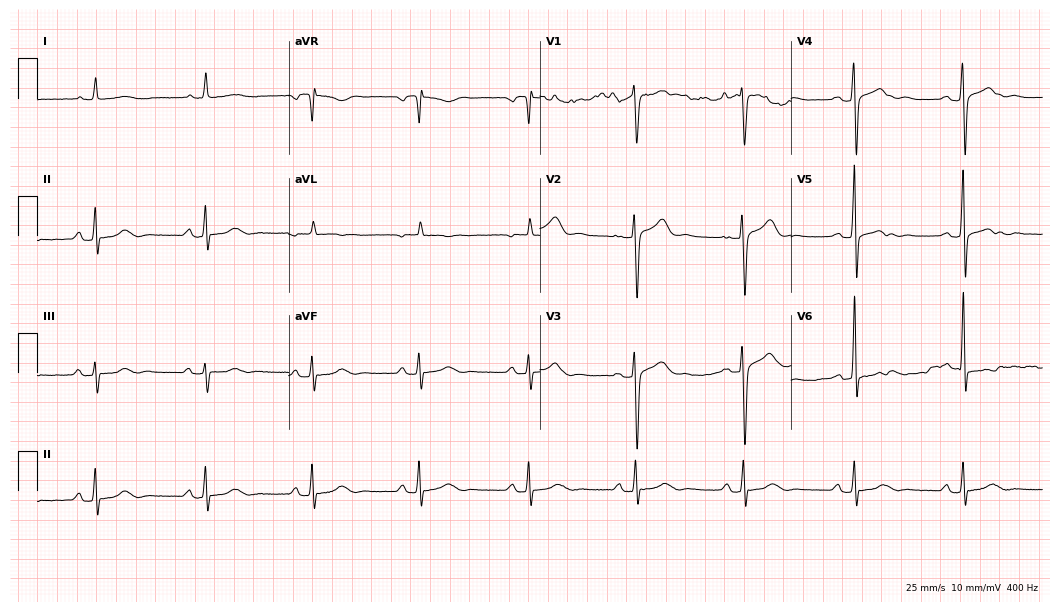
ECG (10.2-second recording at 400 Hz) — a 78-year-old woman. Labelled as a normal ECG.